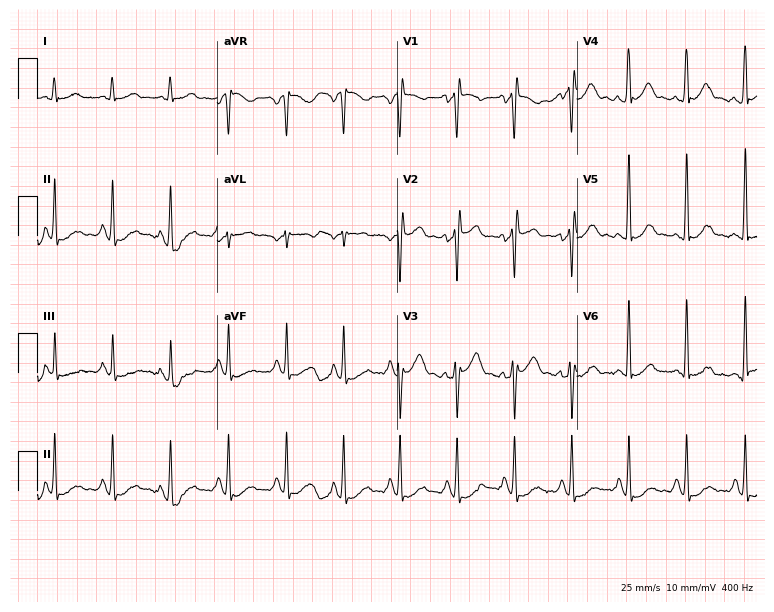
ECG — a 35-year-old man. Screened for six findings — first-degree AV block, right bundle branch block, left bundle branch block, sinus bradycardia, atrial fibrillation, sinus tachycardia — none is recorded.